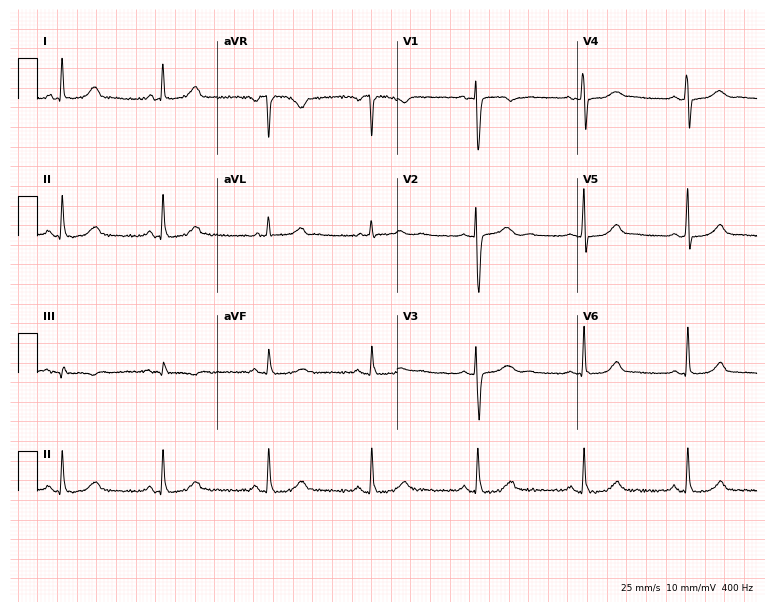
12-lead ECG from a 42-year-old female (7.3-second recording at 400 Hz). No first-degree AV block, right bundle branch block, left bundle branch block, sinus bradycardia, atrial fibrillation or sinus tachycardia recorded for this tracing. Only these six findings were labelled.